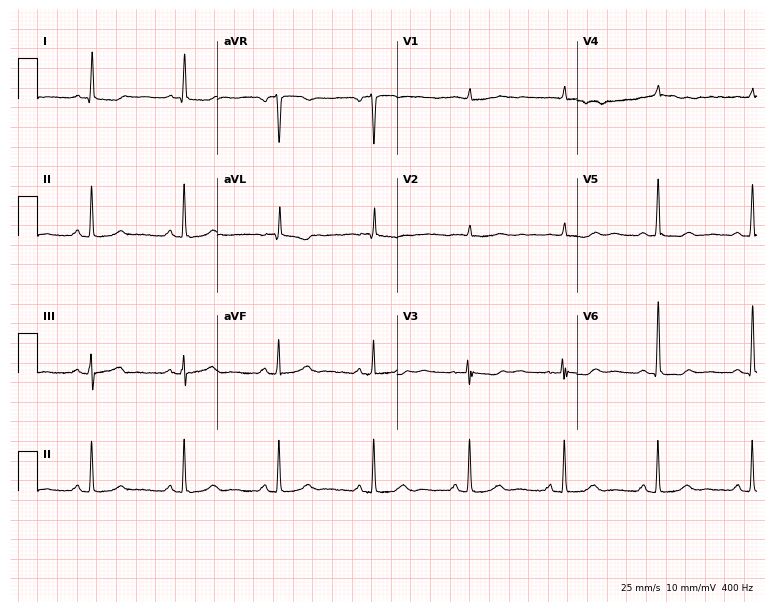
12-lead ECG from a 48-year-old female patient. No first-degree AV block, right bundle branch block (RBBB), left bundle branch block (LBBB), sinus bradycardia, atrial fibrillation (AF) or sinus tachycardia recorded for this tracing. Findings outside these six are not listed.